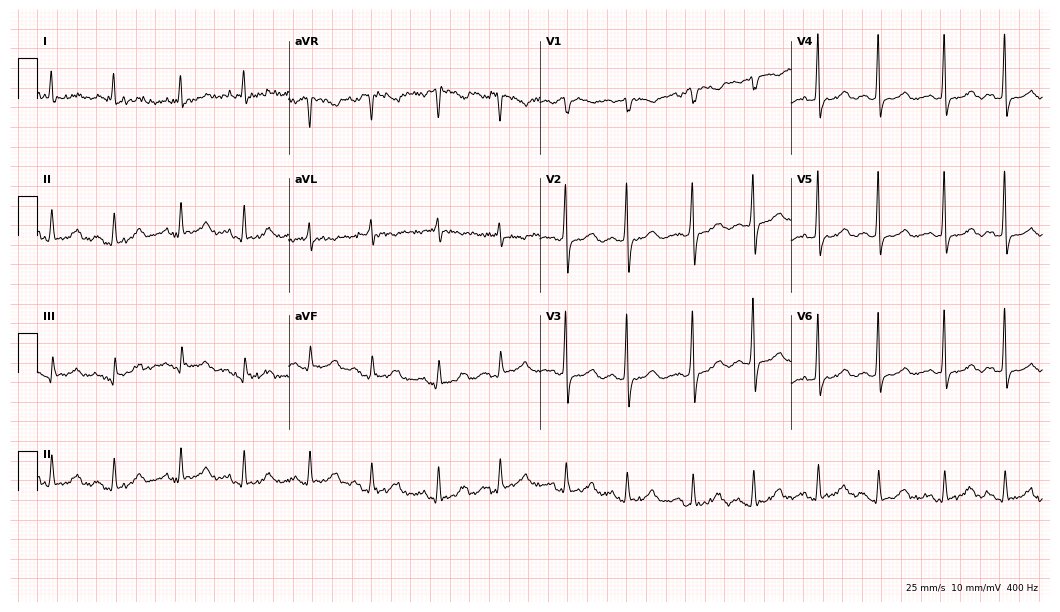
ECG — a woman, 80 years old. Labelled as a normal ECG.